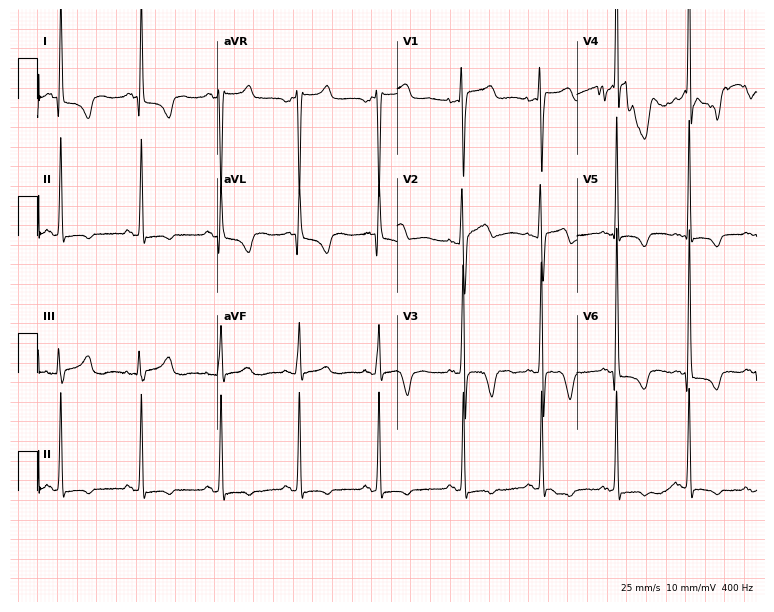
12-lead ECG from a 37-year-old woman (7.3-second recording at 400 Hz). Recorded interpretation: within normal limits.